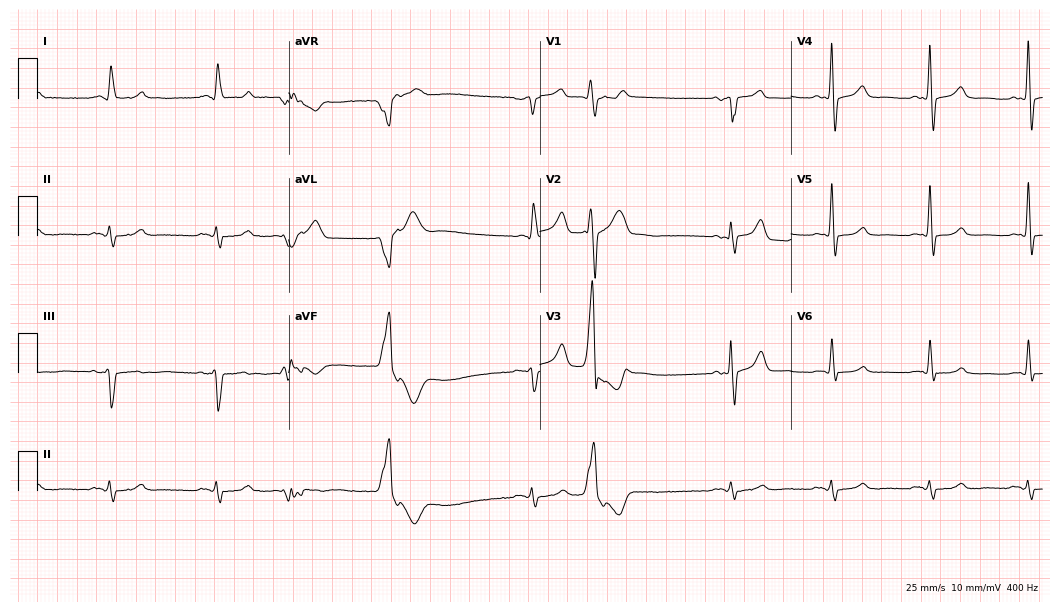
12-lead ECG (10.2-second recording at 400 Hz) from a male patient, 71 years old. Screened for six findings — first-degree AV block, right bundle branch block, left bundle branch block, sinus bradycardia, atrial fibrillation, sinus tachycardia — none is recorded. Findings outside these six are not listed.